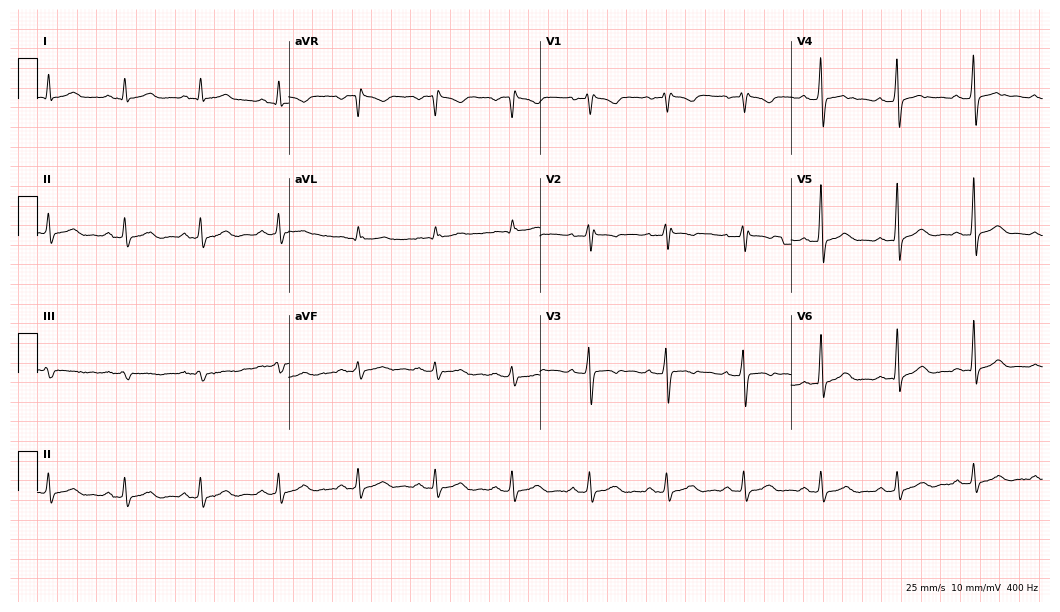
12-lead ECG from a woman, 28 years old (10.2-second recording at 400 Hz). No first-degree AV block, right bundle branch block, left bundle branch block, sinus bradycardia, atrial fibrillation or sinus tachycardia recorded for this tracing.